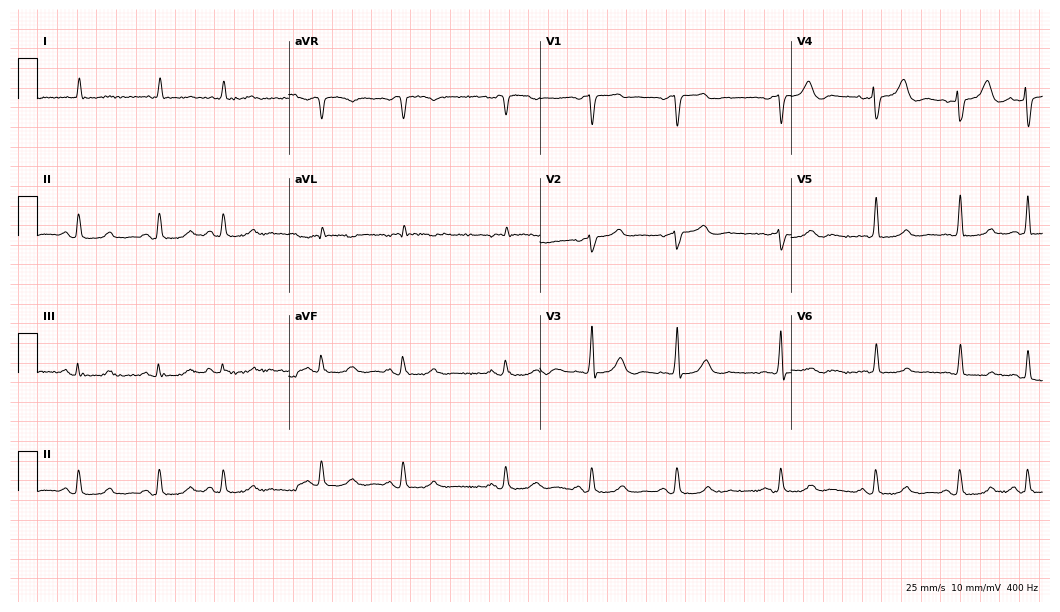
Standard 12-lead ECG recorded from a female, 85 years old (10.2-second recording at 400 Hz). None of these six findings is recorded: first-degree AV block, right bundle branch block, left bundle branch block, sinus bradycardia, atrial fibrillation, sinus tachycardia. Findings outside these six are not listed.